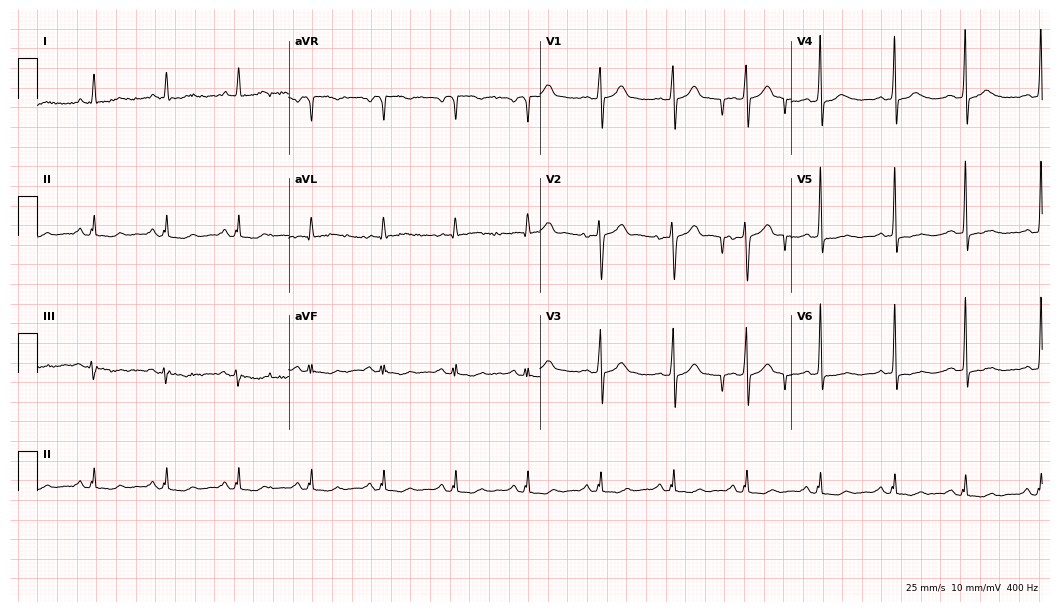
12-lead ECG from a 63-year-old male. Labelled as a normal ECG.